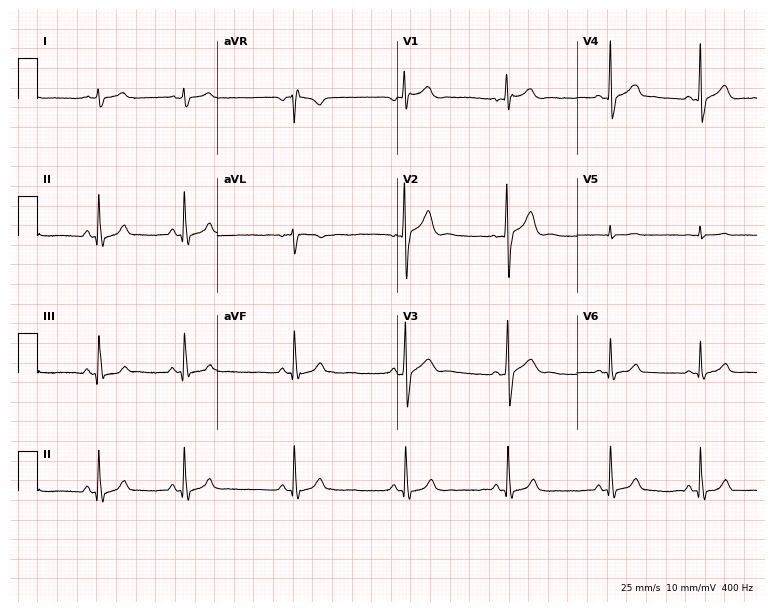
Electrocardiogram, a 20-year-old male patient. Overall reading on record: normal ECG.